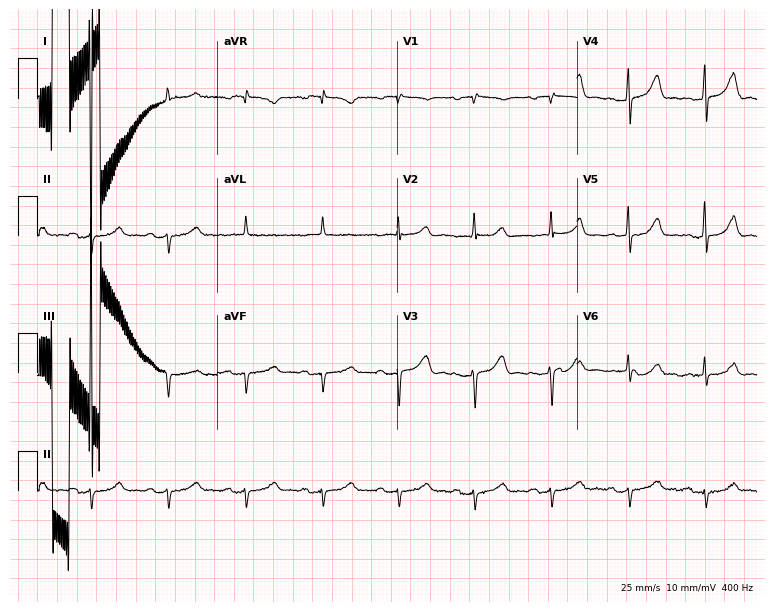
12-lead ECG from a 78-year-old man. Screened for six findings — first-degree AV block, right bundle branch block, left bundle branch block, sinus bradycardia, atrial fibrillation, sinus tachycardia — none is recorded.